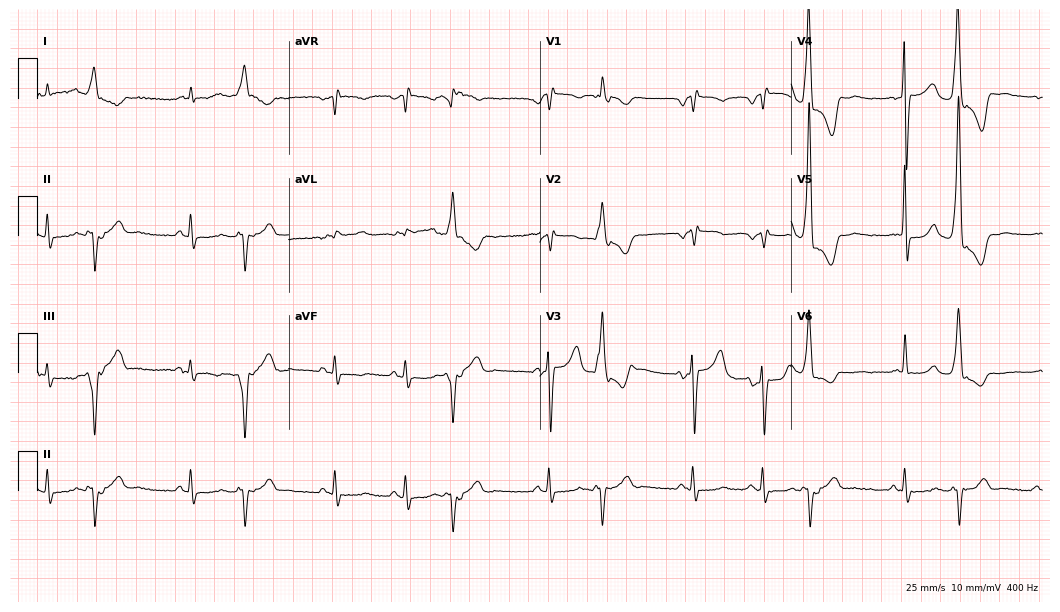
12-lead ECG from an 81-year-old male patient. No first-degree AV block, right bundle branch block, left bundle branch block, sinus bradycardia, atrial fibrillation or sinus tachycardia recorded for this tracing.